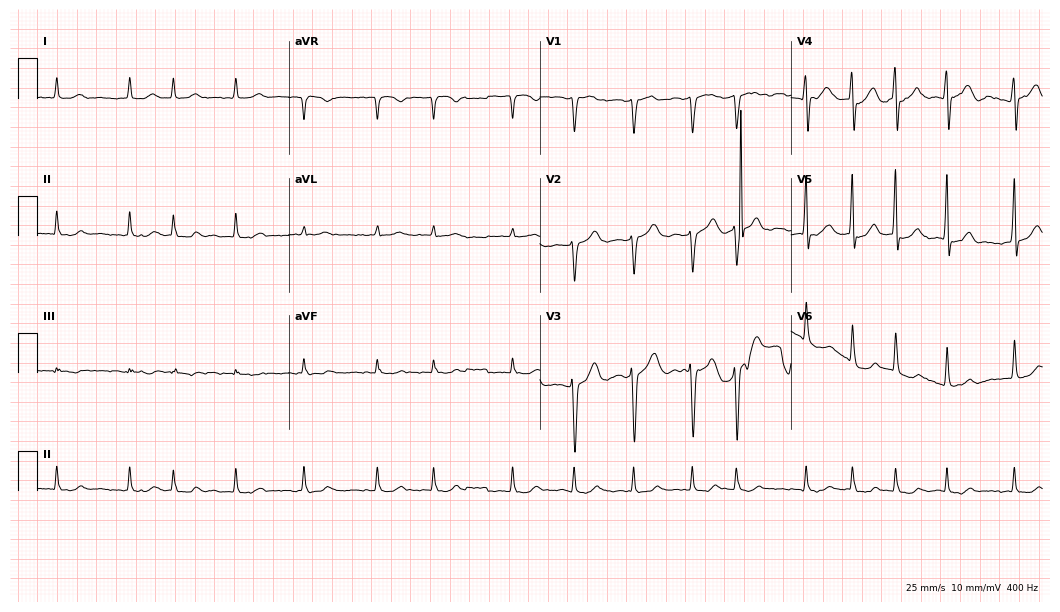
12-lead ECG (10.2-second recording at 400 Hz) from a male patient, 80 years old. Findings include atrial fibrillation.